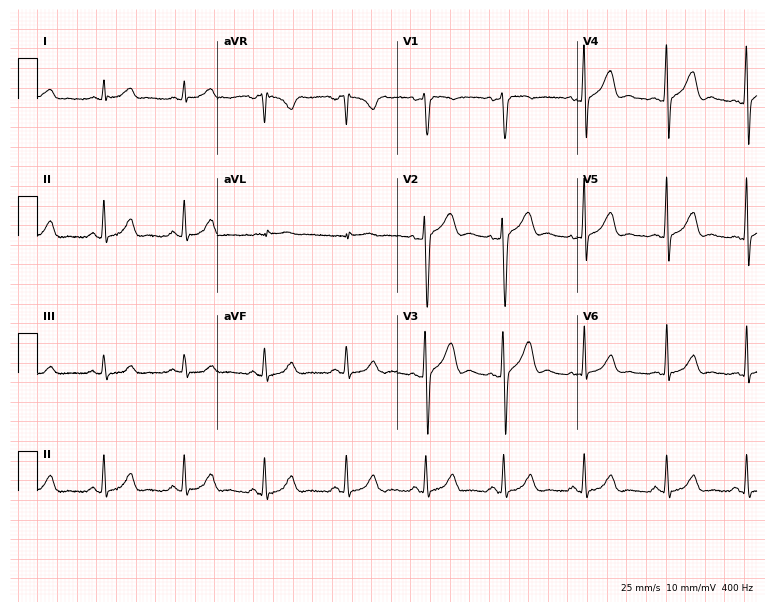
12-lead ECG from a male, 40 years old (7.3-second recording at 400 Hz). Recorded interpretation: within normal limits.